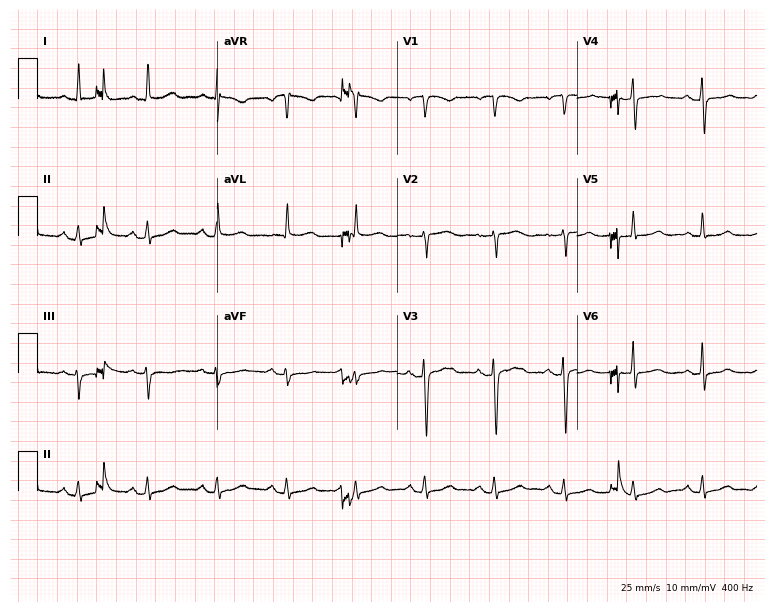
Electrocardiogram (7.3-second recording at 400 Hz), a 67-year-old woman. Overall reading on record: normal ECG.